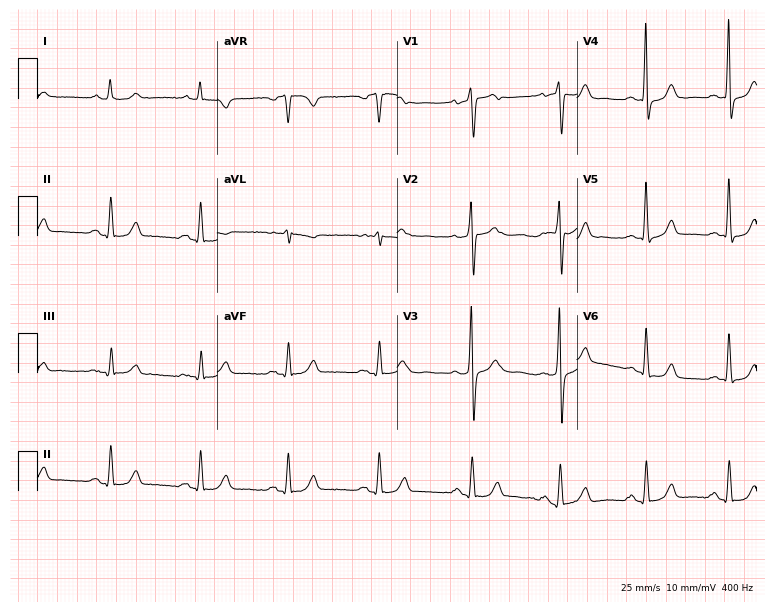
12-lead ECG (7.3-second recording at 400 Hz) from a 53-year-old female patient. Screened for six findings — first-degree AV block, right bundle branch block, left bundle branch block, sinus bradycardia, atrial fibrillation, sinus tachycardia — none is recorded.